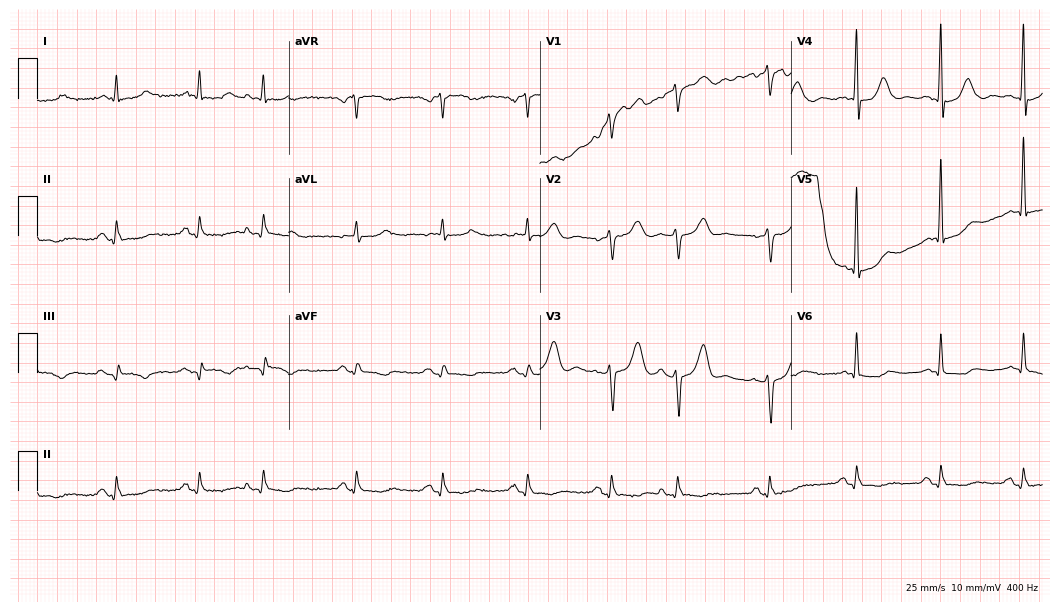
Electrocardiogram, a male patient, 82 years old. Of the six screened findings (first-degree AV block, right bundle branch block, left bundle branch block, sinus bradycardia, atrial fibrillation, sinus tachycardia), none is recorded. Other findings, if any, are not listed.